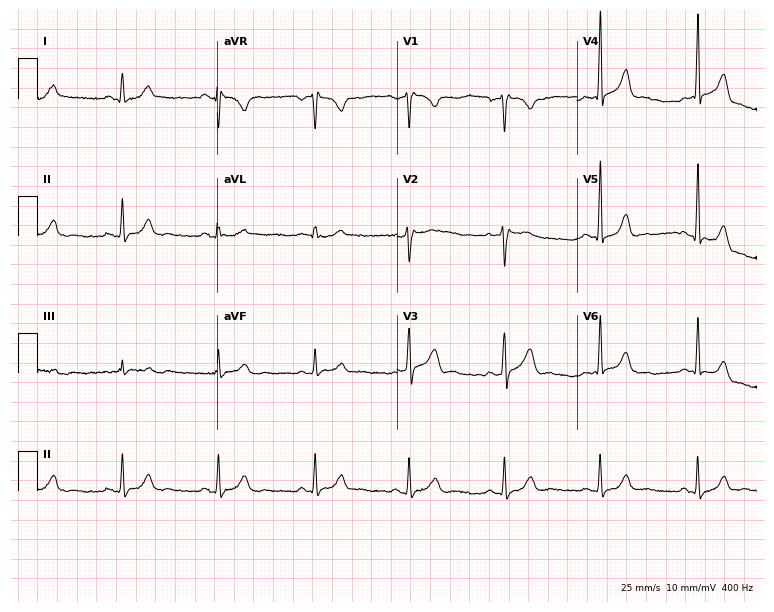
ECG — a 59-year-old male patient. Screened for six findings — first-degree AV block, right bundle branch block, left bundle branch block, sinus bradycardia, atrial fibrillation, sinus tachycardia — none is recorded.